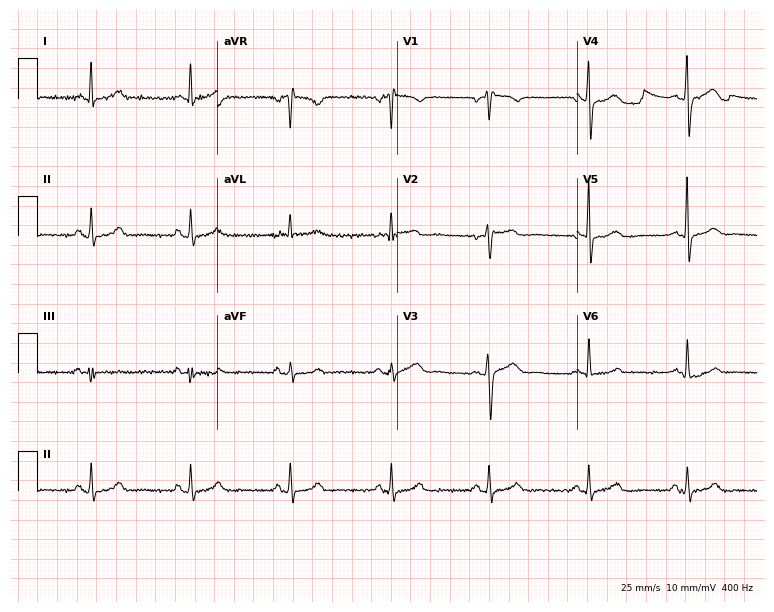
ECG (7.3-second recording at 400 Hz) — a 43-year-old female patient. Screened for six findings — first-degree AV block, right bundle branch block, left bundle branch block, sinus bradycardia, atrial fibrillation, sinus tachycardia — none is recorded. Other findings, if any, are not listed.